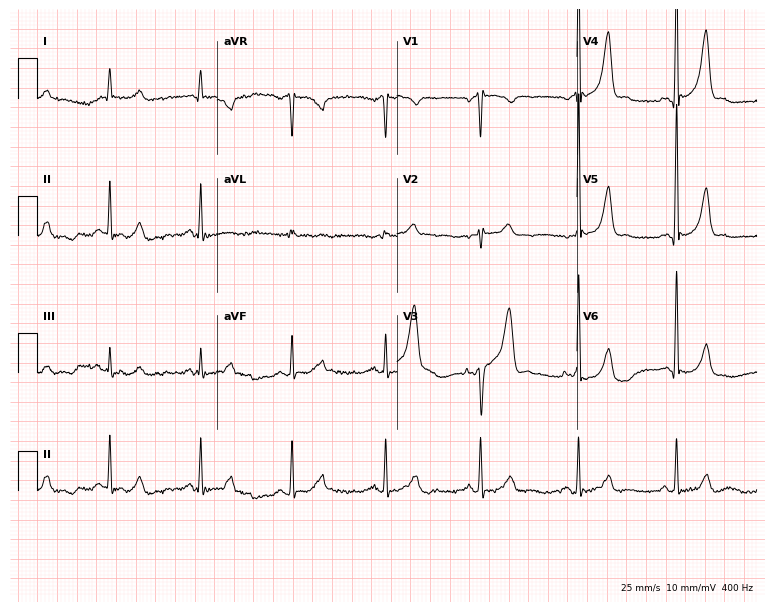
Resting 12-lead electrocardiogram (7.3-second recording at 400 Hz). Patient: a 58-year-old male. Read as a normal ECG.